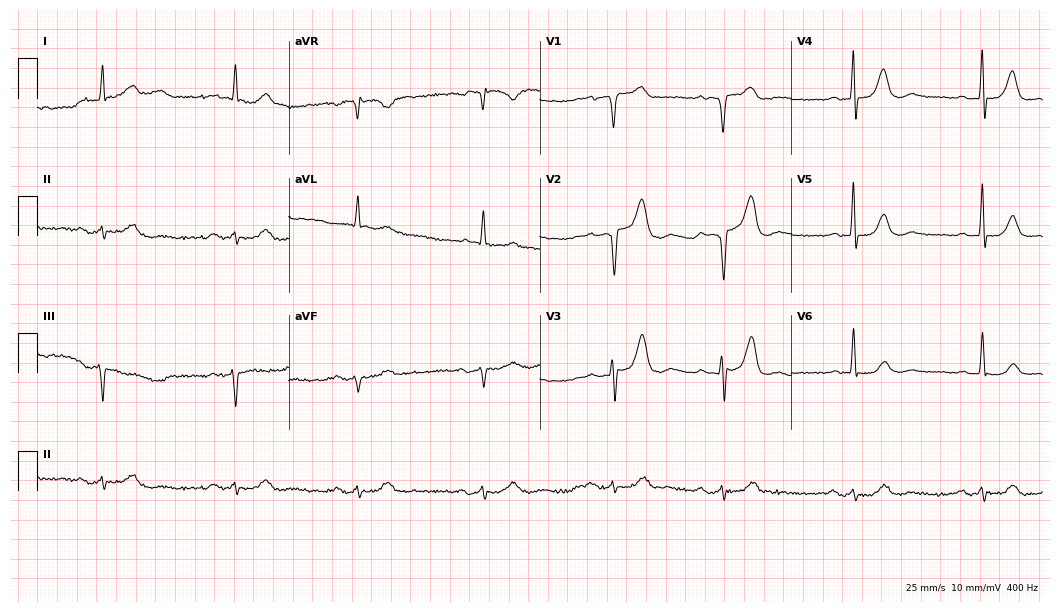
Resting 12-lead electrocardiogram. Patient: a man, 73 years old. The tracing shows first-degree AV block, sinus bradycardia (a sinus rate of 50 beats per minute or less).